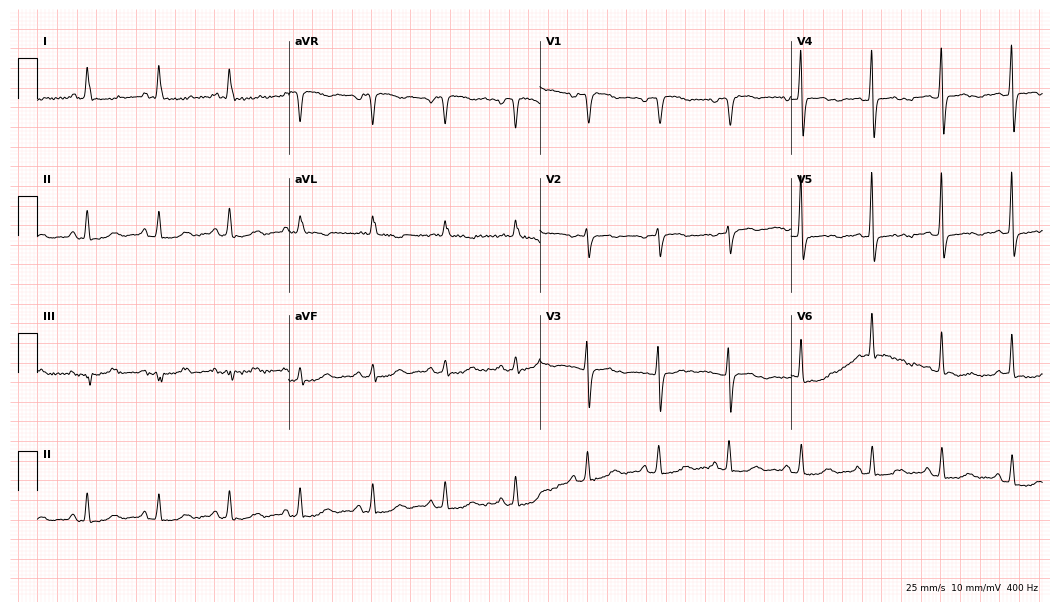
ECG (10.2-second recording at 400 Hz) — a 62-year-old female. Screened for six findings — first-degree AV block, right bundle branch block, left bundle branch block, sinus bradycardia, atrial fibrillation, sinus tachycardia — none is recorded. Other findings, if any, are not listed.